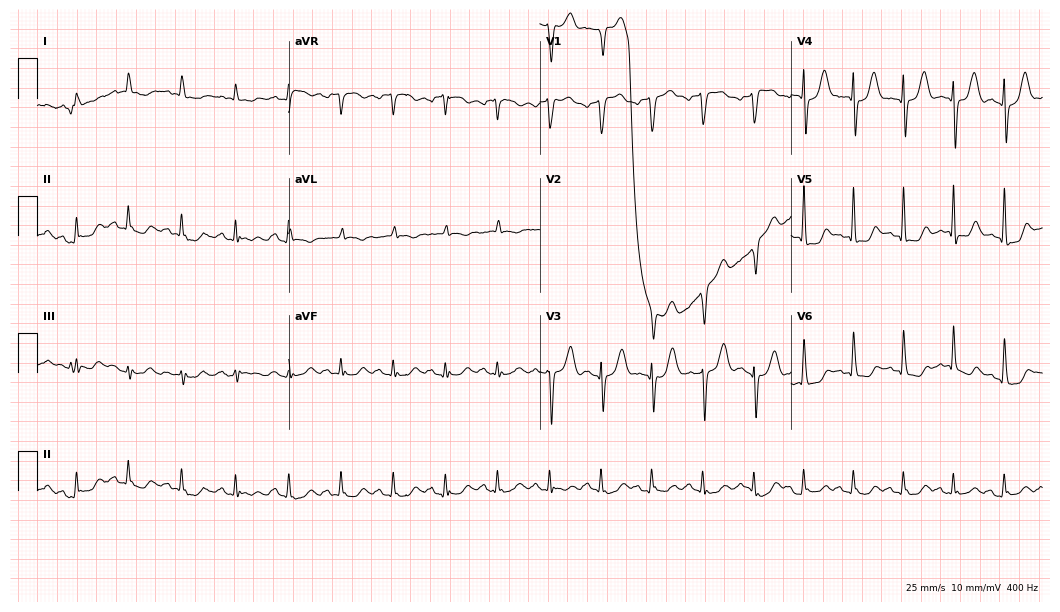
12-lead ECG (10.2-second recording at 400 Hz) from a man, 62 years old. Findings include sinus tachycardia (a sinus rate of 100 beats per minute or more).